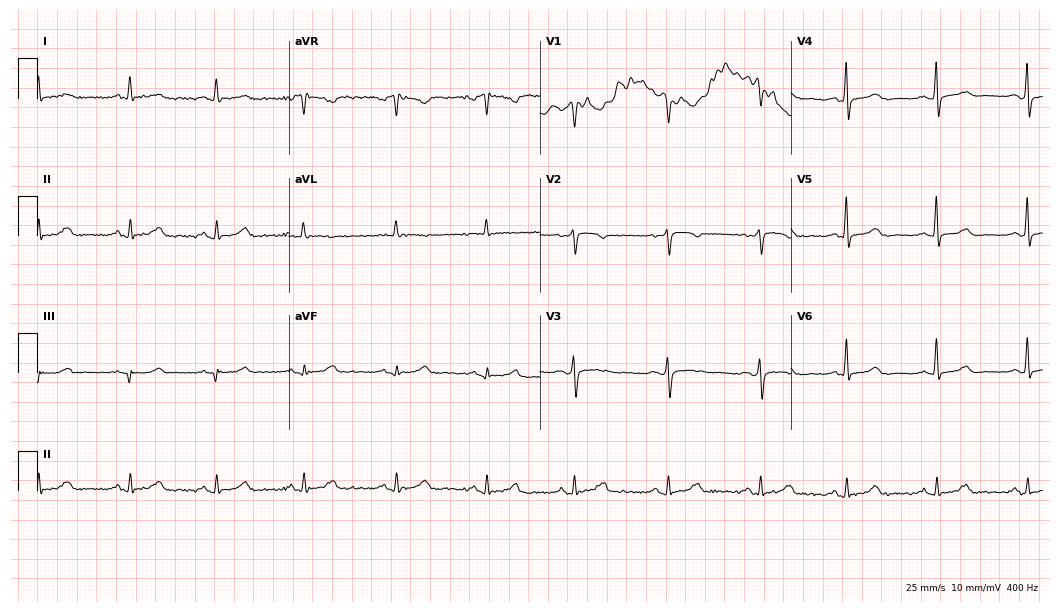
Standard 12-lead ECG recorded from a female patient, 49 years old. None of these six findings is recorded: first-degree AV block, right bundle branch block, left bundle branch block, sinus bradycardia, atrial fibrillation, sinus tachycardia.